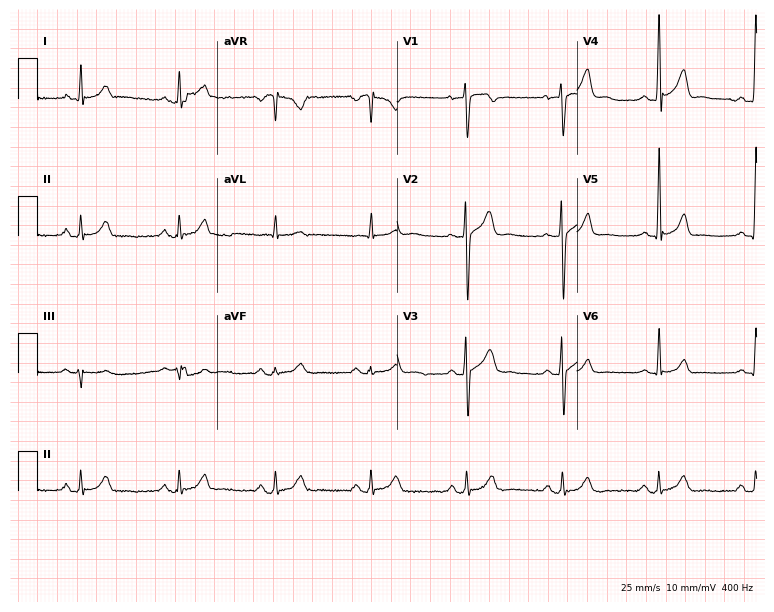
Resting 12-lead electrocardiogram. Patient: a man, 57 years old. None of these six findings is recorded: first-degree AV block, right bundle branch block, left bundle branch block, sinus bradycardia, atrial fibrillation, sinus tachycardia. Only these six findings were labelled.